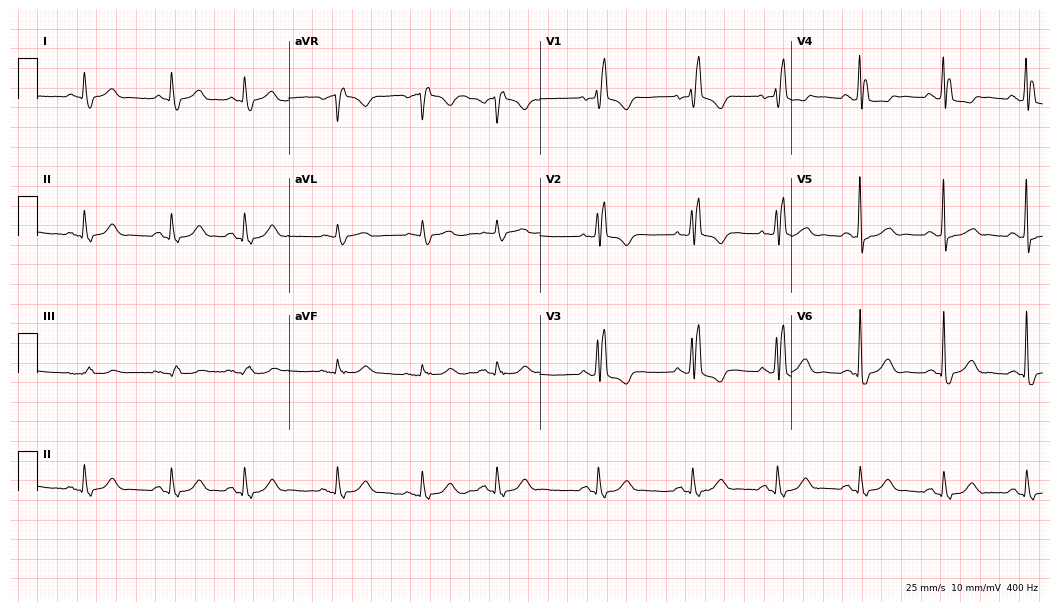
12-lead ECG from an 83-year-old male. Shows right bundle branch block.